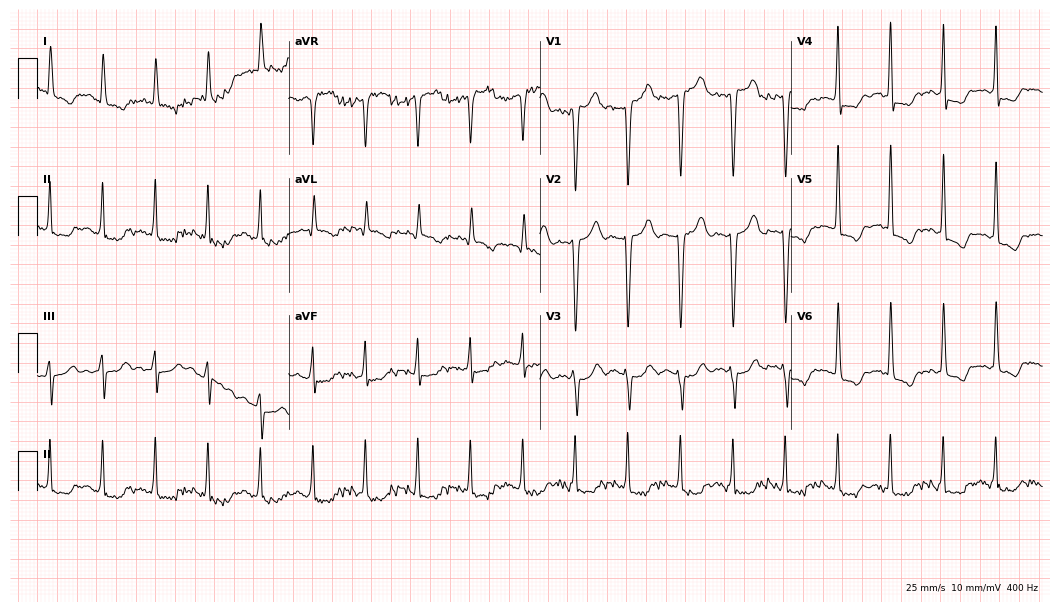
12-lead ECG from a 66-year-old woman (10.2-second recording at 400 Hz). No first-degree AV block, right bundle branch block (RBBB), left bundle branch block (LBBB), sinus bradycardia, atrial fibrillation (AF) or sinus tachycardia recorded for this tracing. Findings outside these six are not listed.